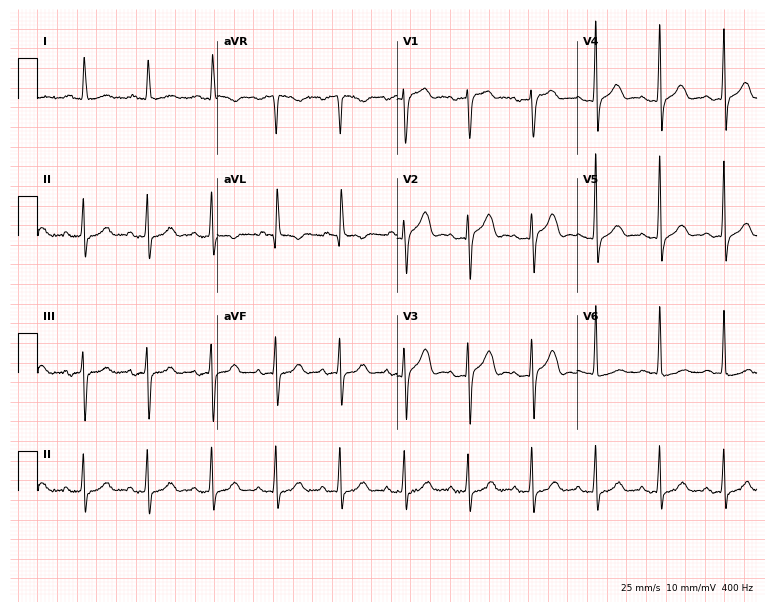
Resting 12-lead electrocardiogram (7.3-second recording at 400 Hz). Patient: a female, 85 years old. None of these six findings is recorded: first-degree AV block, right bundle branch block, left bundle branch block, sinus bradycardia, atrial fibrillation, sinus tachycardia.